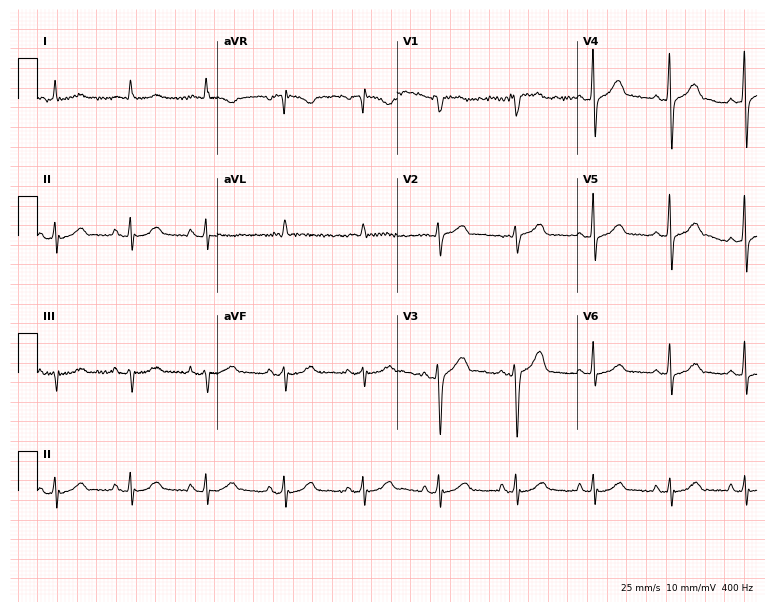
12-lead ECG from a man, 65 years old. Labelled as a normal ECG.